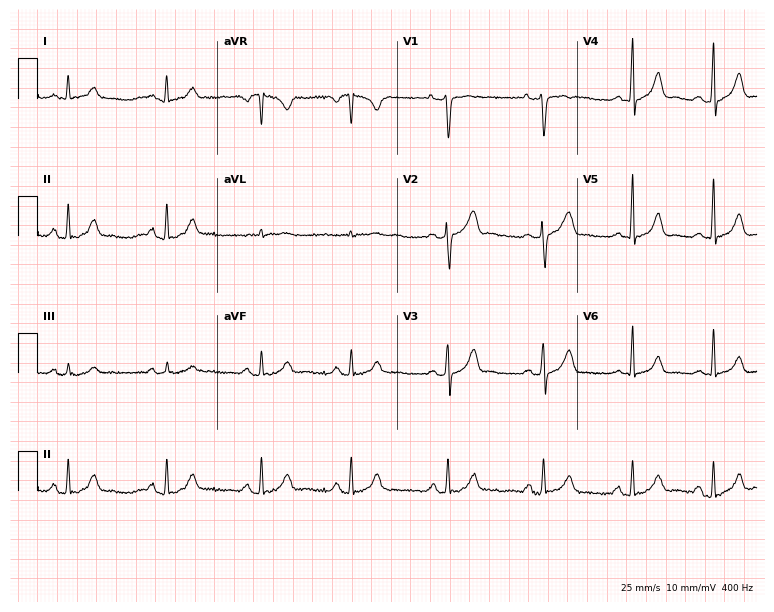
12-lead ECG from a female patient, 28 years old. Labelled as a normal ECG.